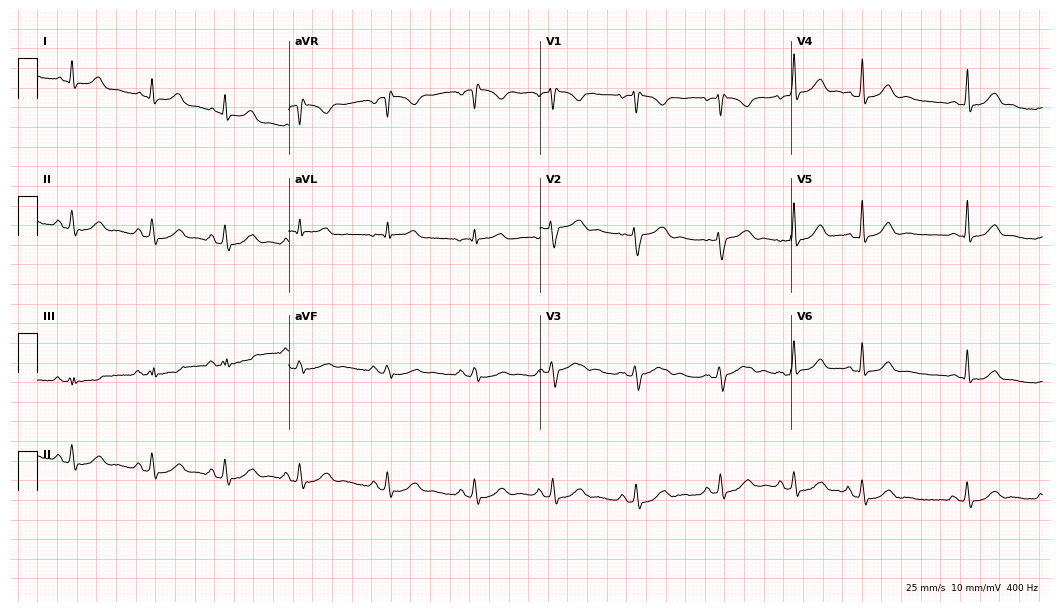
Electrocardiogram, a 23-year-old woman. Overall reading on record: normal ECG.